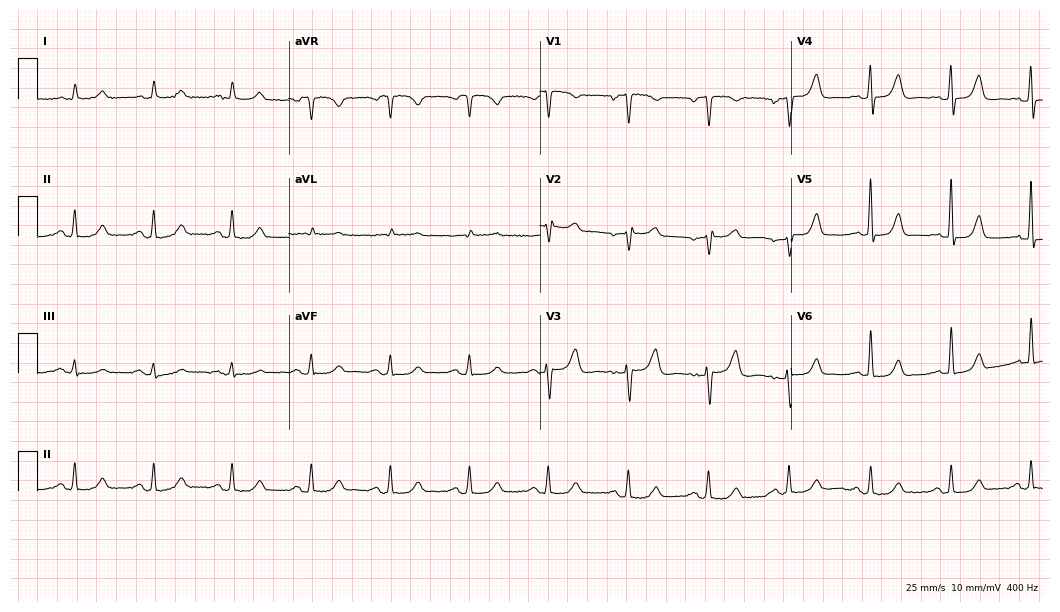
Resting 12-lead electrocardiogram (10.2-second recording at 400 Hz). Patient: a 73-year-old female. None of these six findings is recorded: first-degree AV block, right bundle branch block, left bundle branch block, sinus bradycardia, atrial fibrillation, sinus tachycardia.